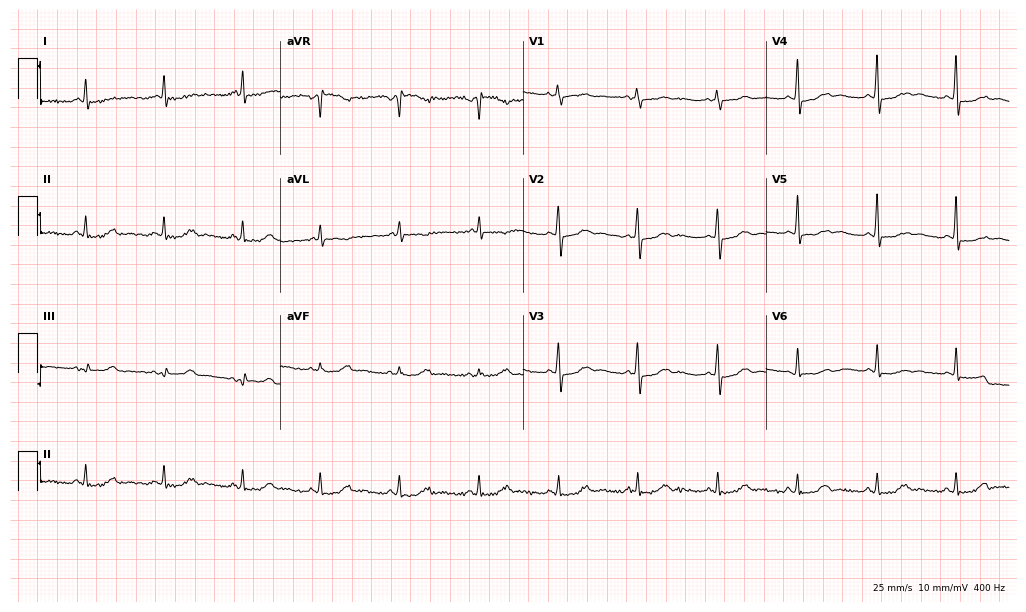
ECG (9.9-second recording at 400 Hz) — a 66-year-old woman. Screened for six findings — first-degree AV block, right bundle branch block, left bundle branch block, sinus bradycardia, atrial fibrillation, sinus tachycardia — none is recorded.